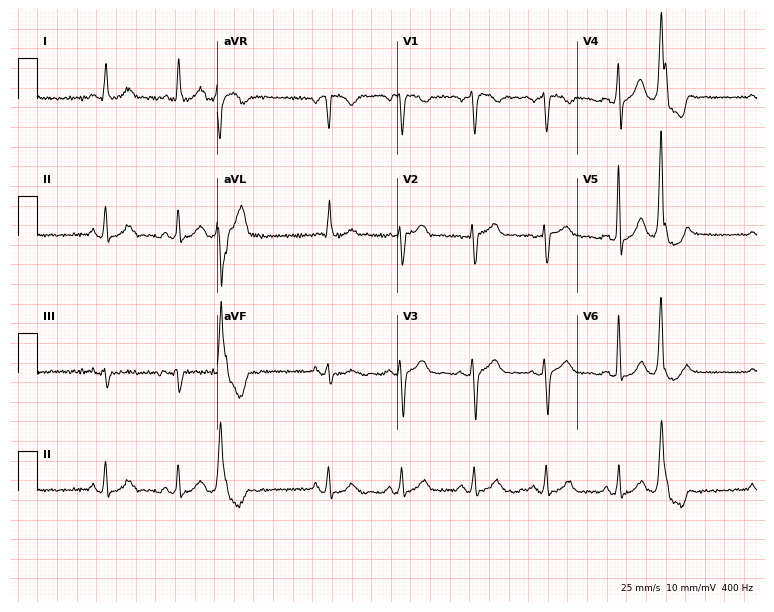
12-lead ECG (7.3-second recording at 400 Hz) from a 72-year-old male. Screened for six findings — first-degree AV block, right bundle branch block, left bundle branch block, sinus bradycardia, atrial fibrillation, sinus tachycardia — none is recorded.